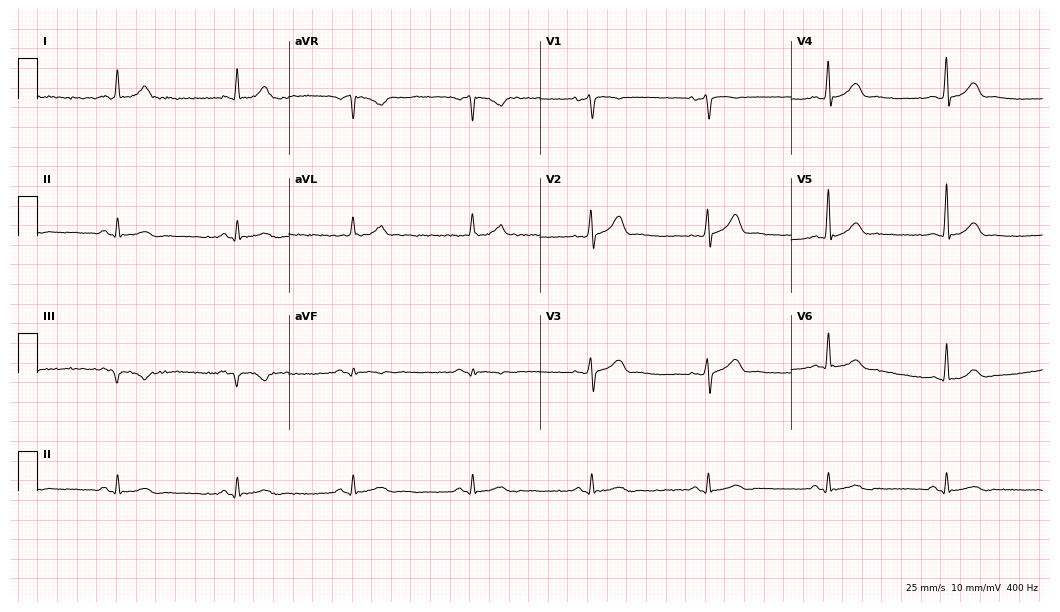
Standard 12-lead ECG recorded from a 55-year-old male (10.2-second recording at 400 Hz). The tracing shows sinus bradycardia (a sinus rate of 50 beats per minute or less).